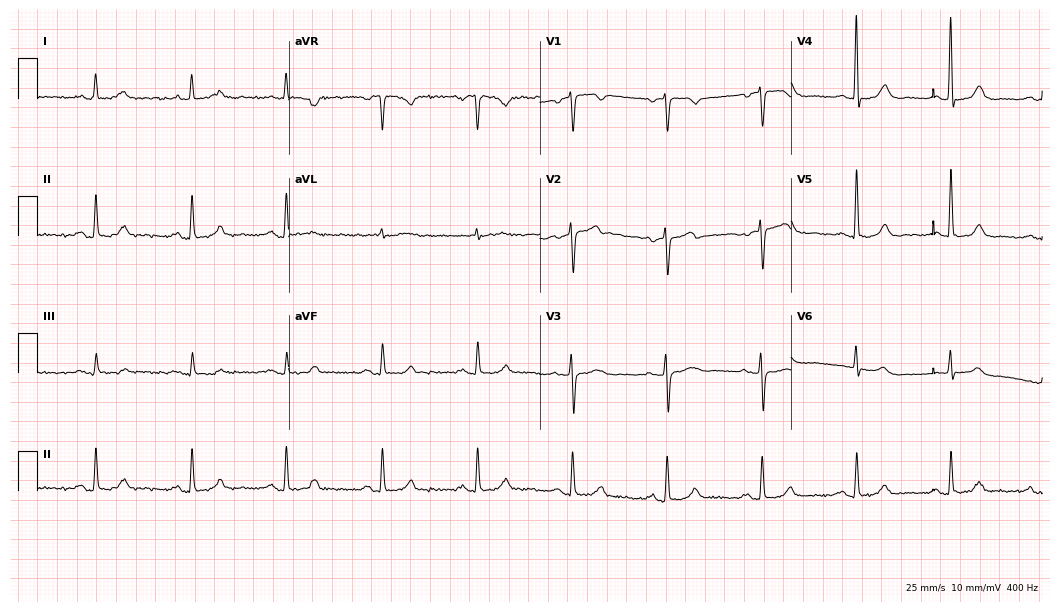
ECG (10.2-second recording at 400 Hz) — a 66-year-old female patient. Labelled as a normal ECG.